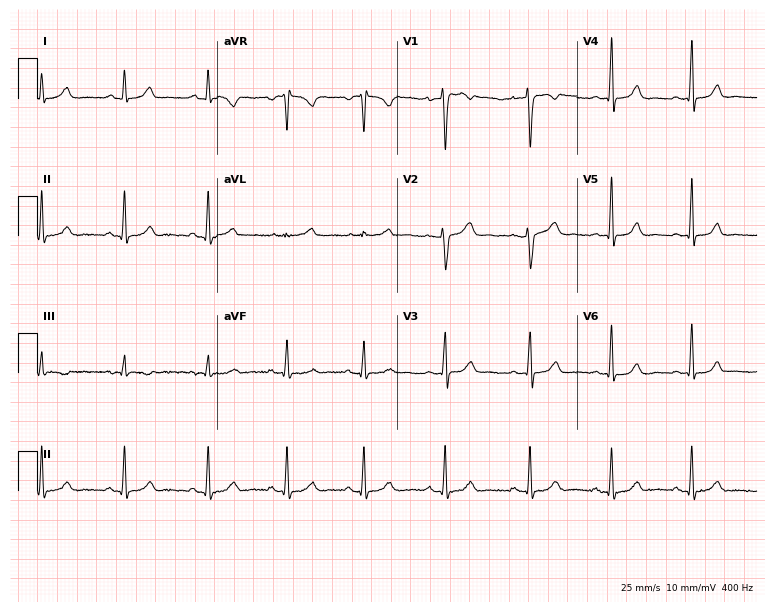
Resting 12-lead electrocardiogram. Patient: a 28-year-old female. Read as a normal ECG.